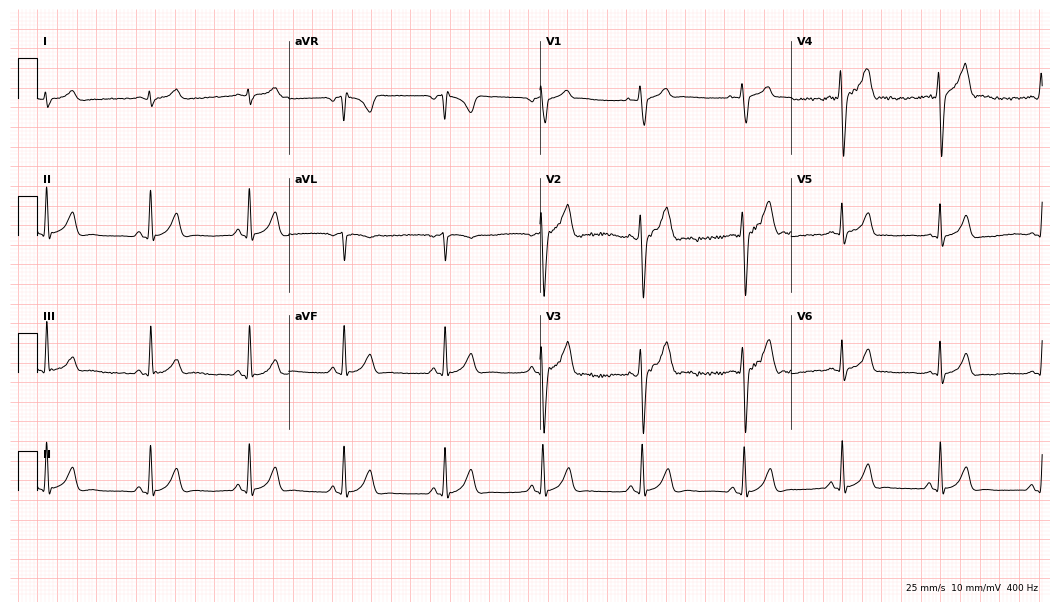
12-lead ECG from a 23-year-old man. Recorded interpretation: within normal limits.